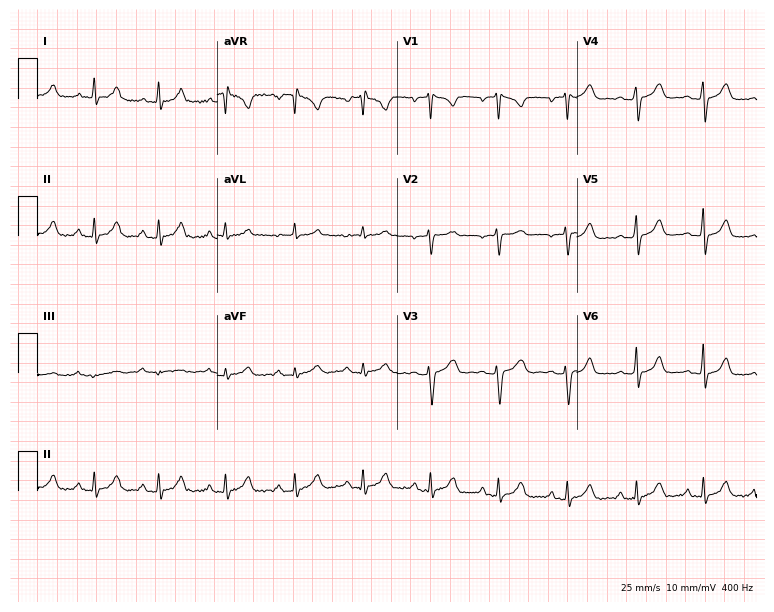
Electrocardiogram, a female, 28 years old. Of the six screened findings (first-degree AV block, right bundle branch block, left bundle branch block, sinus bradycardia, atrial fibrillation, sinus tachycardia), none is recorded.